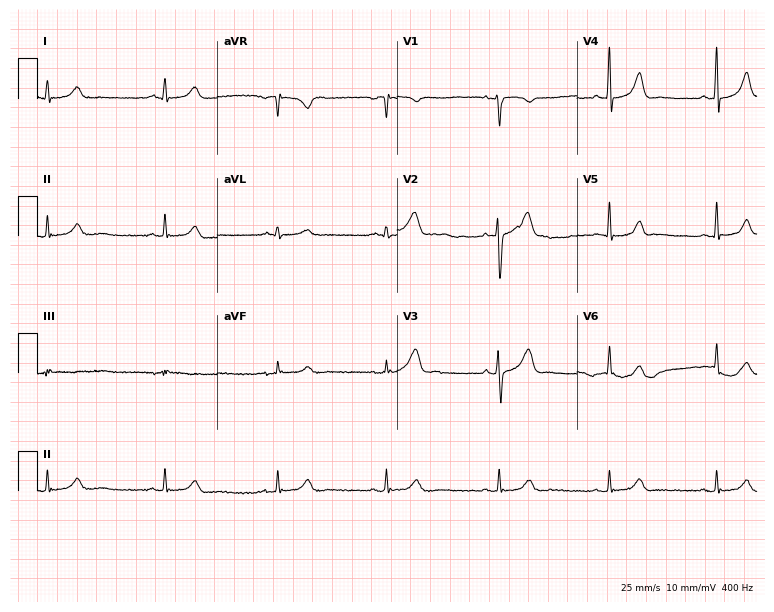
12-lead ECG from a 40-year-old woman. No first-degree AV block, right bundle branch block (RBBB), left bundle branch block (LBBB), sinus bradycardia, atrial fibrillation (AF) or sinus tachycardia recorded for this tracing. Only these six findings were labelled.